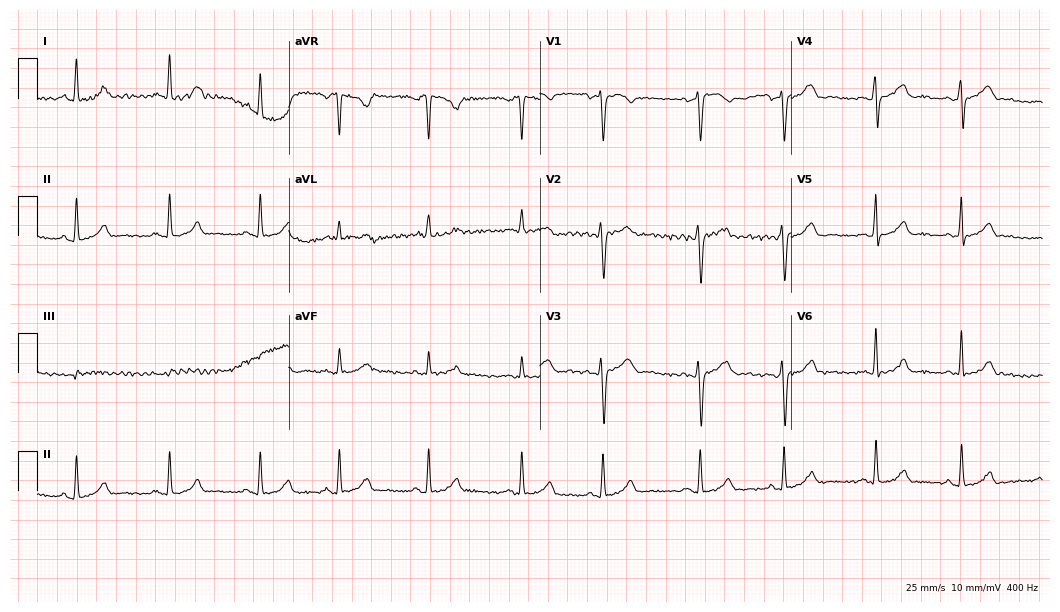
ECG — a 37-year-old female. Labelled as a normal ECG.